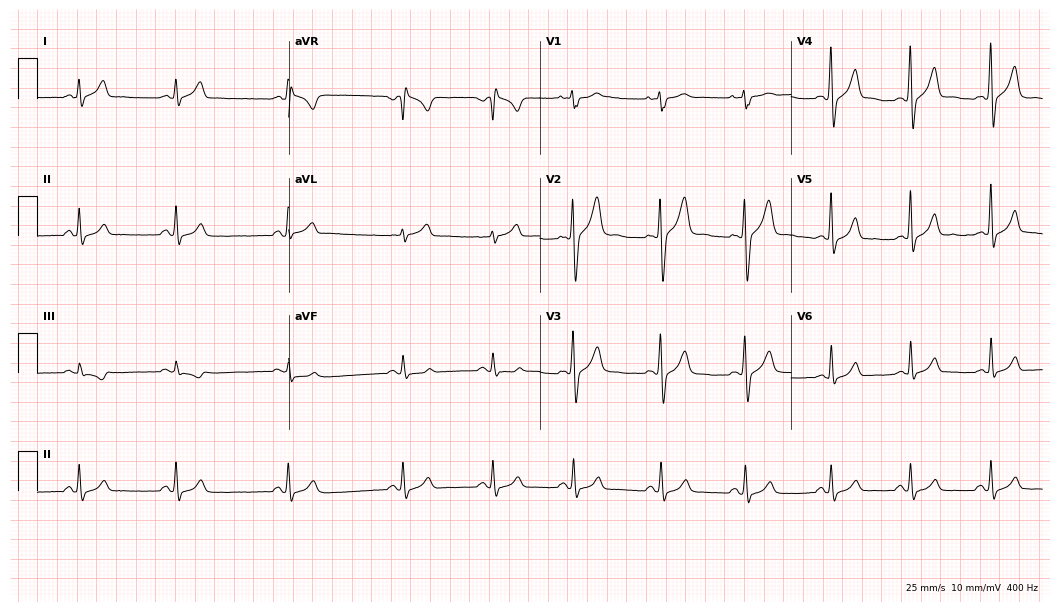
Resting 12-lead electrocardiogram (10.2-second recording at 400 Hz). Patient: a male, 30 years old. Read as a normal ECG.